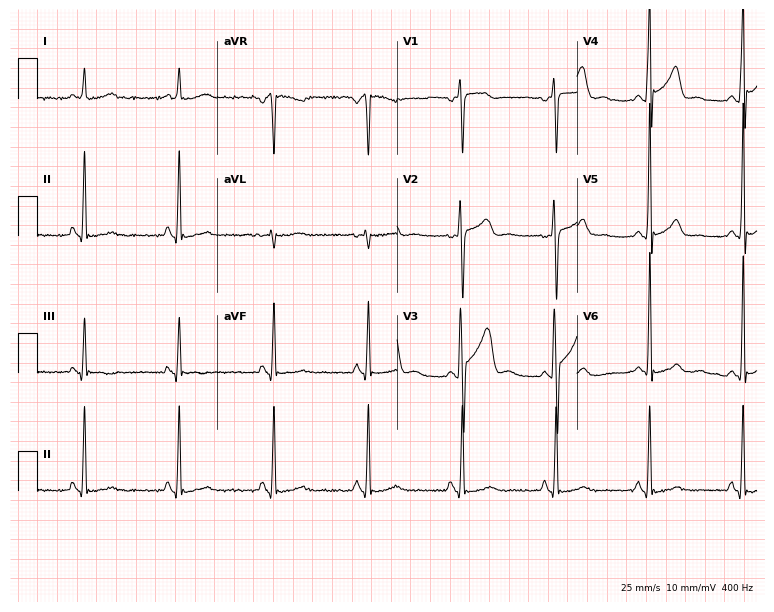
12-lead ECG from a man, 33 years old (7.3-second recording at 400 Hz). Recorded interpretation: within normal limits.